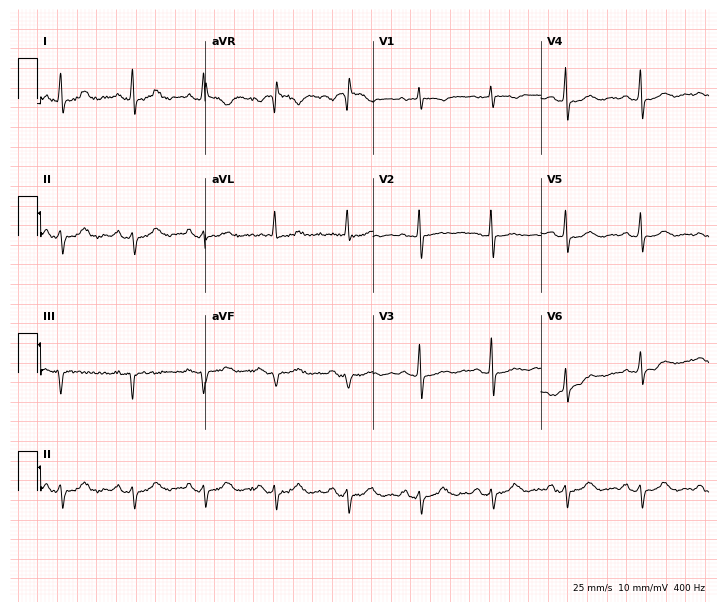
Electrocardiogram, a female patient, 73 years old. Of the six screened findings (first-degree AV block, right bundle branch block, left bundle branch block, sinus bradycardia, atrial fibrillation, sinus tachycardia), none is recorded. Other findings, if any, are not listed.